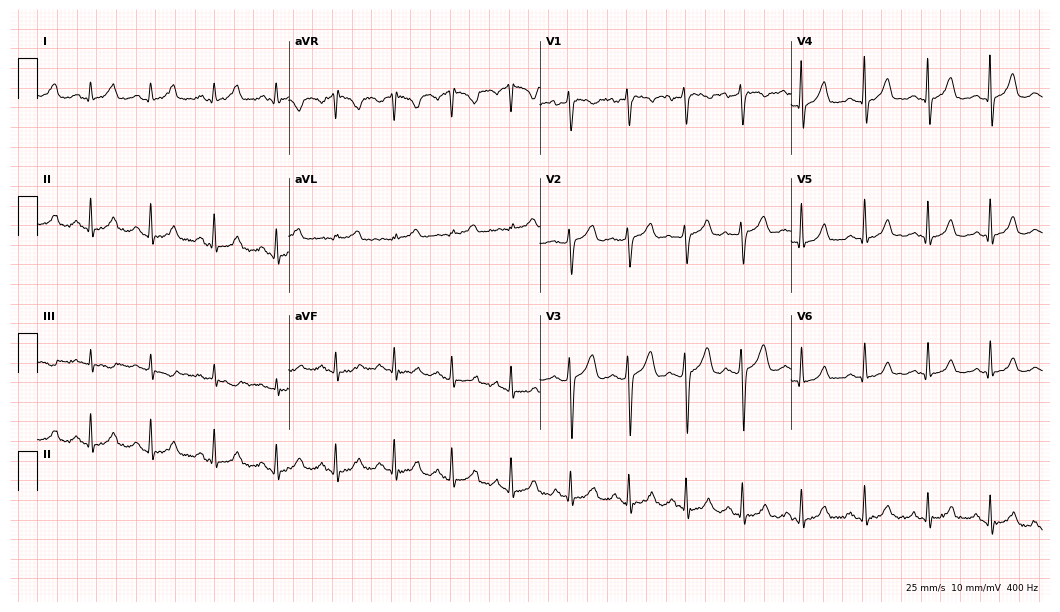
12-lead ECG from a woman, 27 years old (10.2-second recording at 400 Hz). Recorded interpretation: within normal limits.